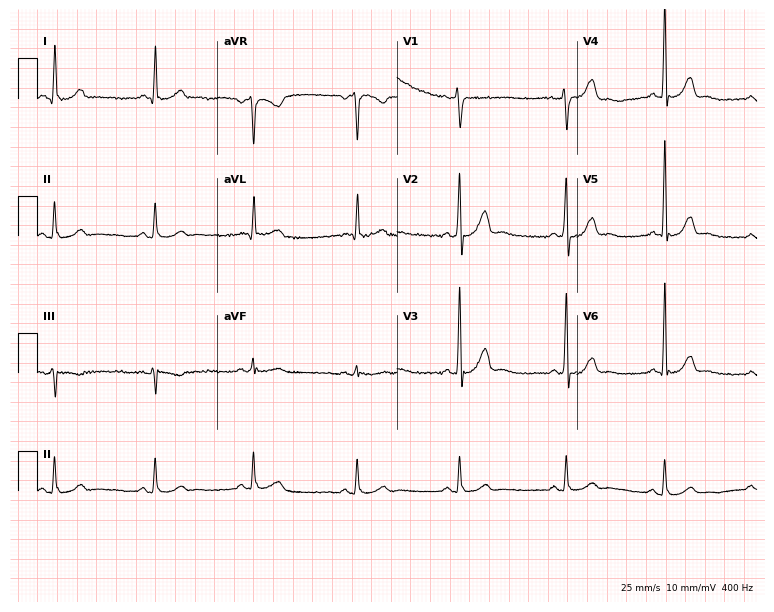
ECG — a male patient, 66 years old. Screened for six findings — first-degree AV block, right bundle branch block (RBBB), left bundle branch block (LBBB), sinus bradycardia, atrial fibrillation (AF), sinus tachycardia — none is recorded.